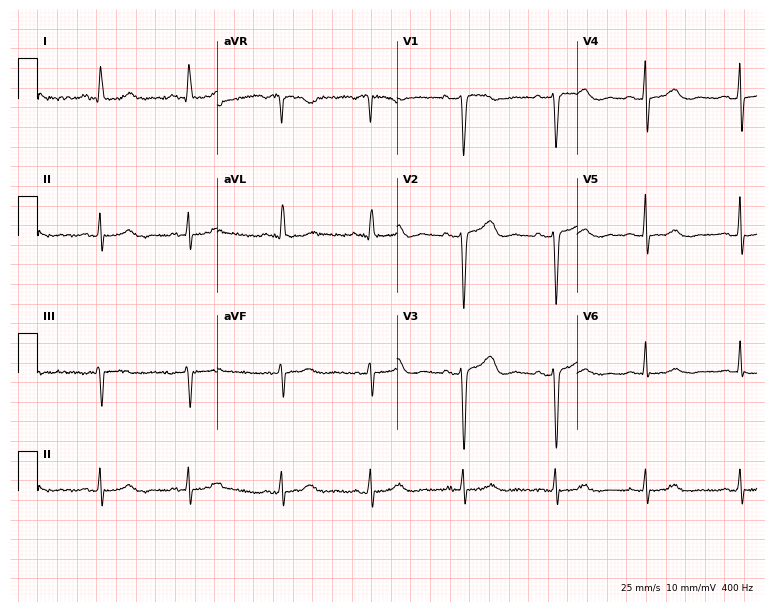
12-lead ECG from a 47-year-old woman. Labelled as a normal ECG.